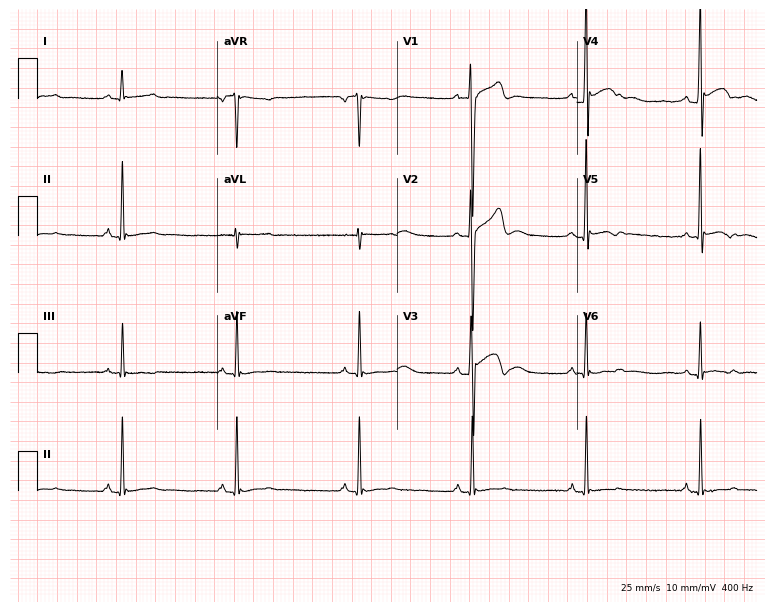
Standard 12-lead ECG recorded from a male patient, 29 years old (7.3-second recording at 400 Hz). None of these six findings is recorded: first-degree AV block, right bundle branch block (RBBB), left bundle branch block (LBBB), sinus bradycardia, atrial fibrillation (AF), sinus tachycardia.